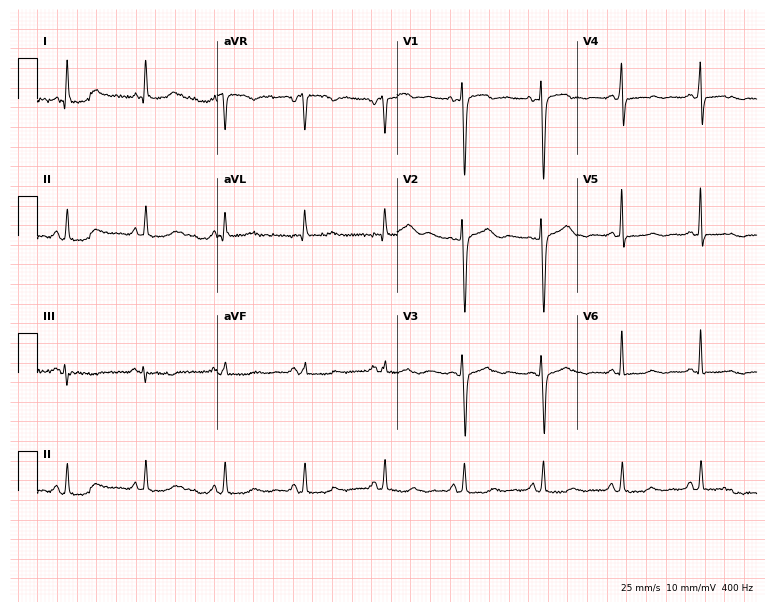
12-lead ECG from a 53-year-old female. Screened for six findings — first-degree AV block, right bundle branch block, left bundle branch block, sinus bradycardia, atrial fibrillation, sinus tachycardia — none is recorded. Findings outside these six are not listed.